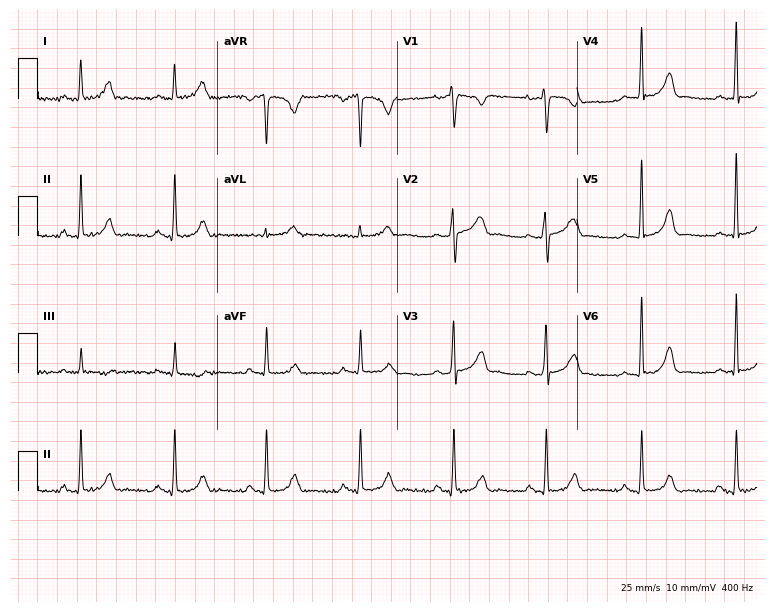
ECG (7.3-second recording at 400 Hz) — a 46-year-old male. Screened for six findings — first-degree AV block, right bundle branch block, left bundle branch block, sinus bradycardia, atrial fibrillation, sinus tachycardia — none is recorded.